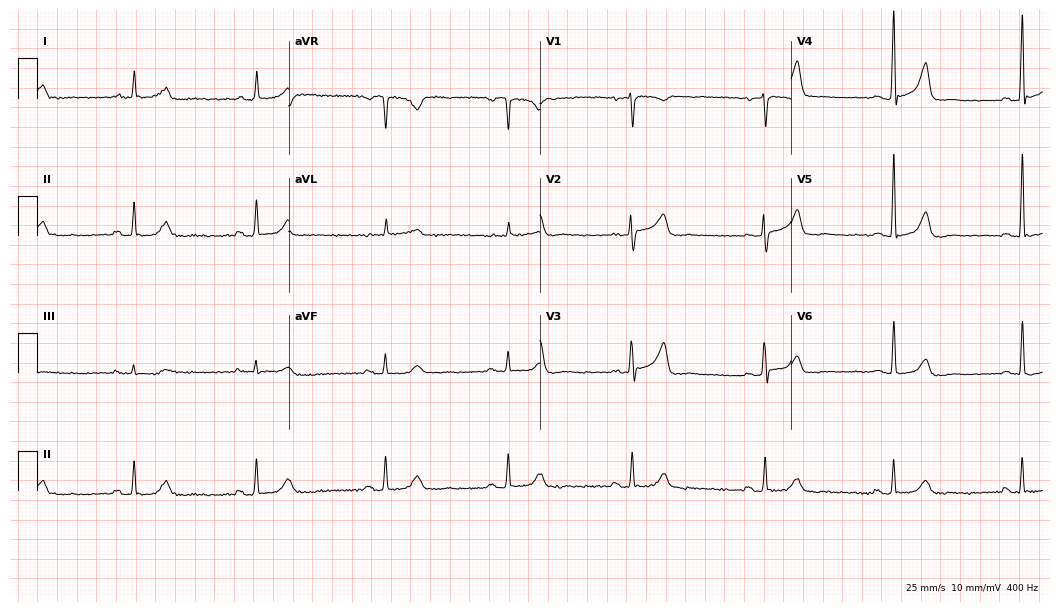
Electrocardiogram, a female patient, 76 years old. Interpretation includes sinus bradycardia (a sinus rate of 50 beats per minute or less).